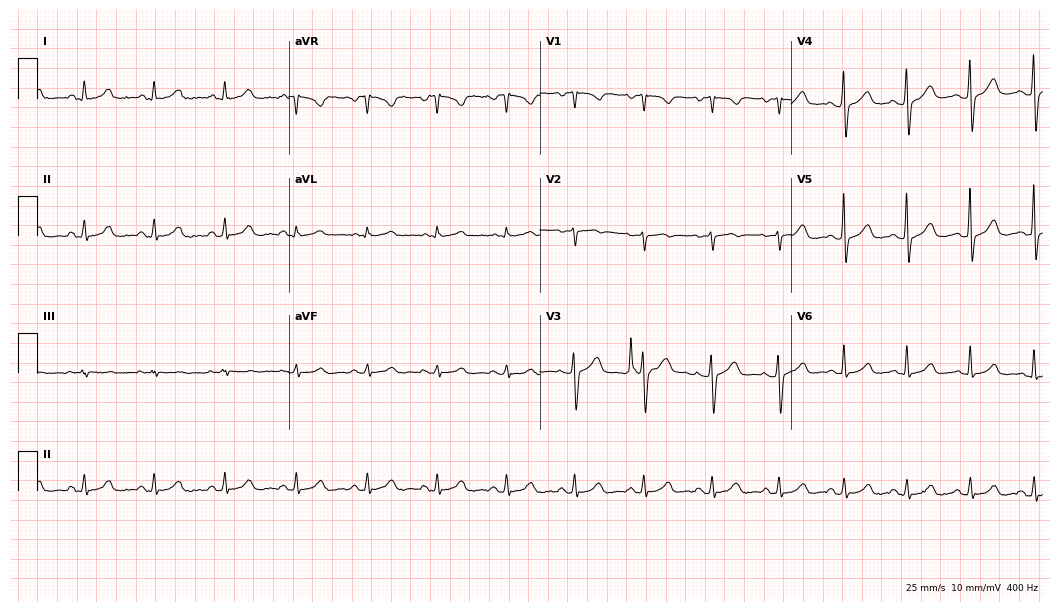
Standard 12-lead ECG recorded from a 50-year-old woman. Read as a normal ECG.